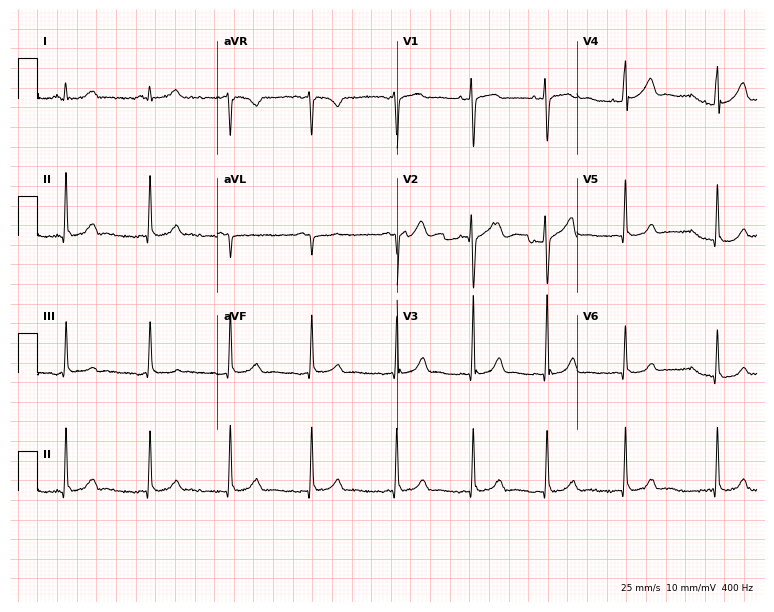
Resting 12-lead electrocardiogram (7.3-second recording at 400 Hz). Patient: a female, 32 years old. Read as a normal ECG.